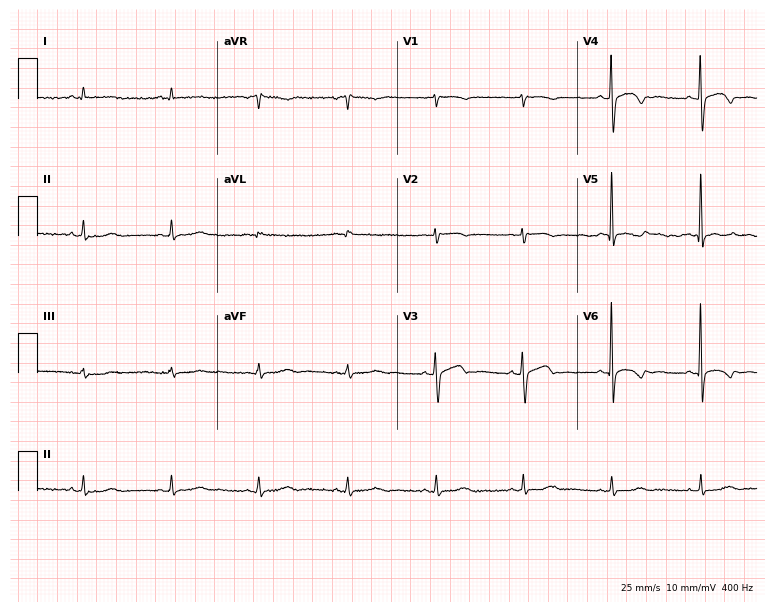
12-lead ECG from a female, 60 years old. Screened for six findings — first-degree AV block, right bundle branch block (RBBB), left bundle branch block (LBBB), sinus bradycardia, atrial fibrillation (AF), sinus tachycardia — none is recorded. Only these six findings were labelled.